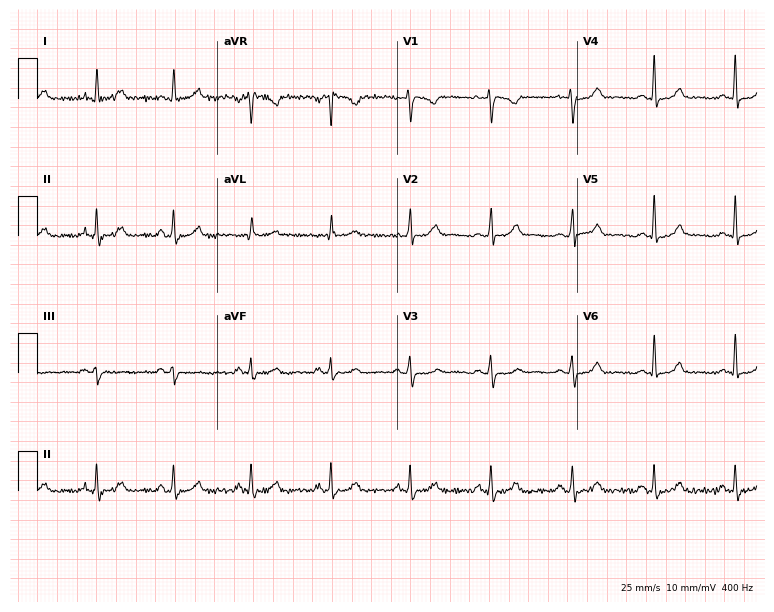
12-lead ECG from a 37-year-old woman. Labelled as a normal ECG.